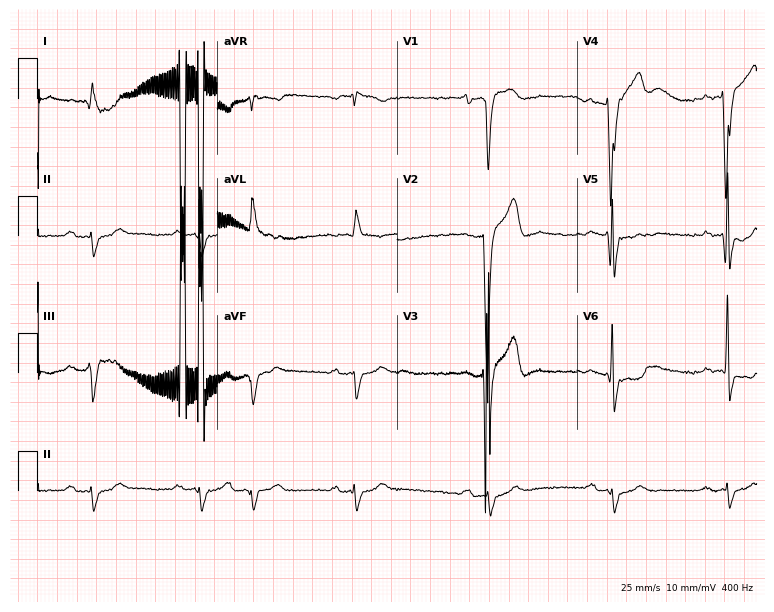
12-lead ECG from an 81-year-old male patient (7.3-second recording at 400 Hz). No first-degree AV block, right bundle branch block (RBBB), left bundle branch block (LBBB), sinus bradycardia, atrial fibrillation (AF) or sinus tachycardia recorded for this tracing.